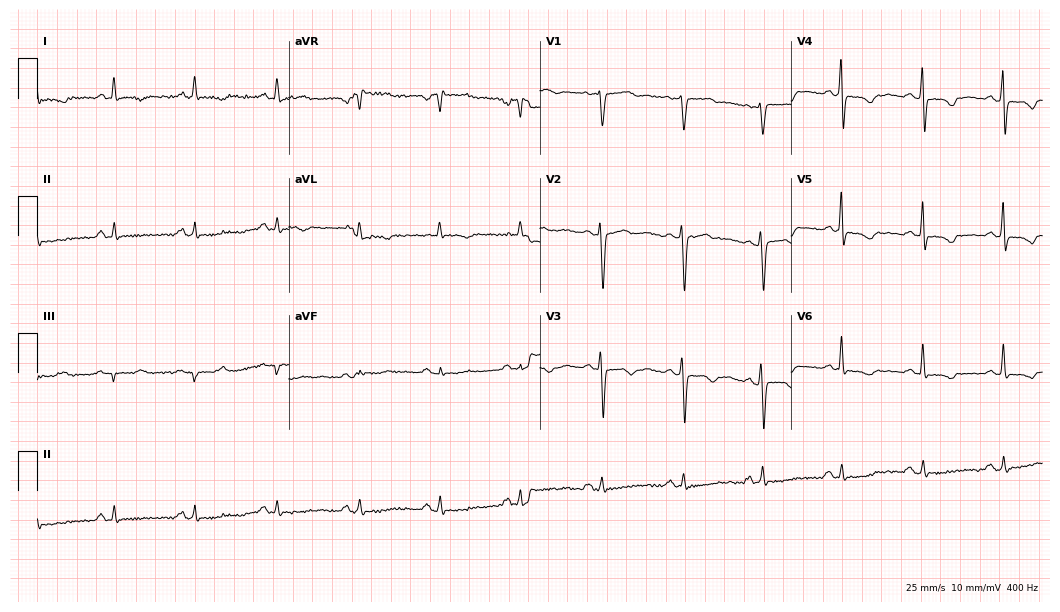
Standard 12-lead ECG recorded from a 64-year-old woman. None of these six findings is recorded: first-degree AV block, right bundle branch block (RBBB), left bundle branch block (LBBB), sinus bradycardia, atrial fibrillation (AF), sinus tachycardia. Only these six findings were labelled.